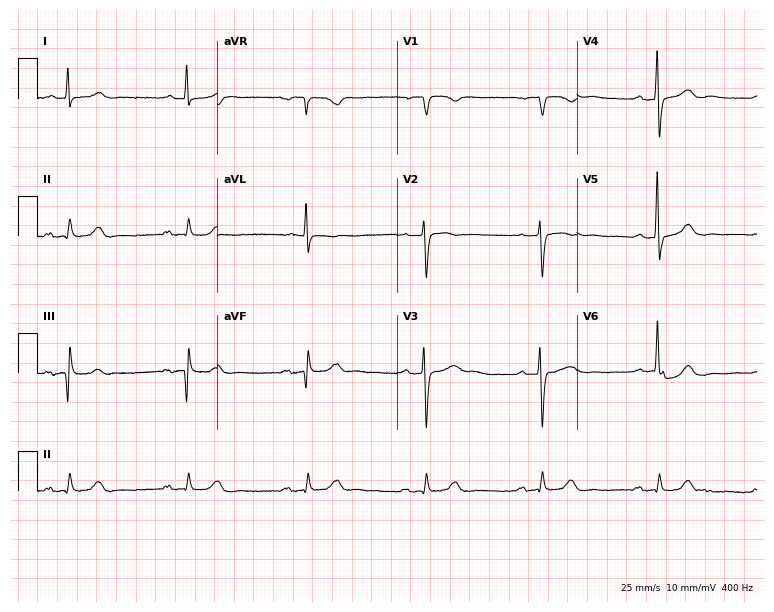
Standard 12-lead ECG recorded from a male, 75 years old (7.3-second recording at 400 Hz). The tracing shows first-degree AV block, sinus bradycardia (a sinus rate of 50 beats per minute or less).